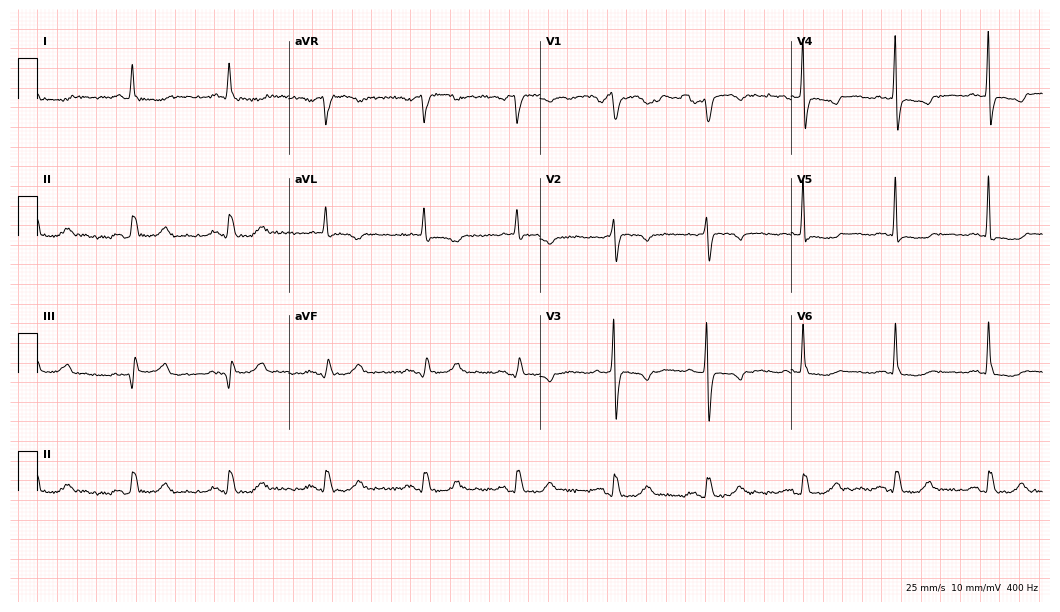
ECG (10.2-second recording at 400 Hz) — a female patient, 70 years old. Screened for six findings — first-degree AV block, right bundle branch block (RBBB), left bundle branch block (LBBB), sinus bradycardia, atrial fibrillation (AF), sinus tachycardia — none is recorded. Other findings, if any, are not listed.